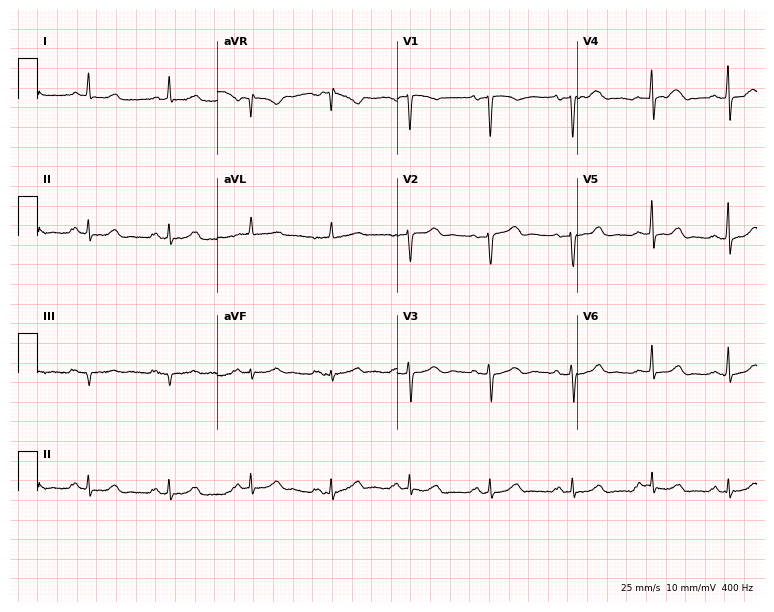
Resting 12-lead electrocardiogram. Patient: a 44-year-old female. Read as a normal ECG.